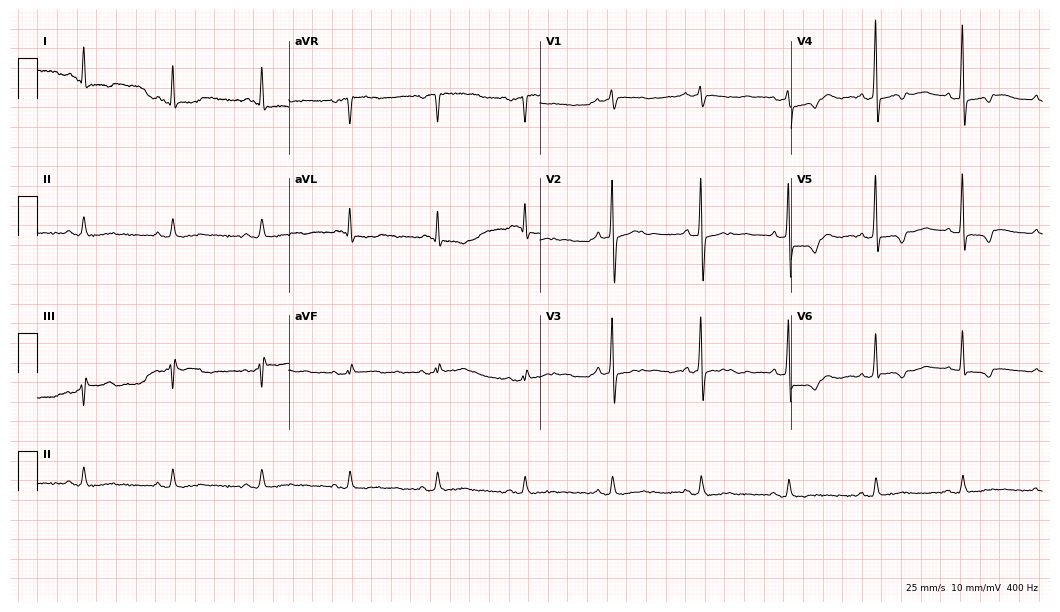
12-lead ECG from a 78-year-old male patient. Screened for six findings — first-degree AV block, right bundle branch block, left bundle branch block, sinus bradycardia, atrial fibrillation, sinus tachycardia — none is recorded.